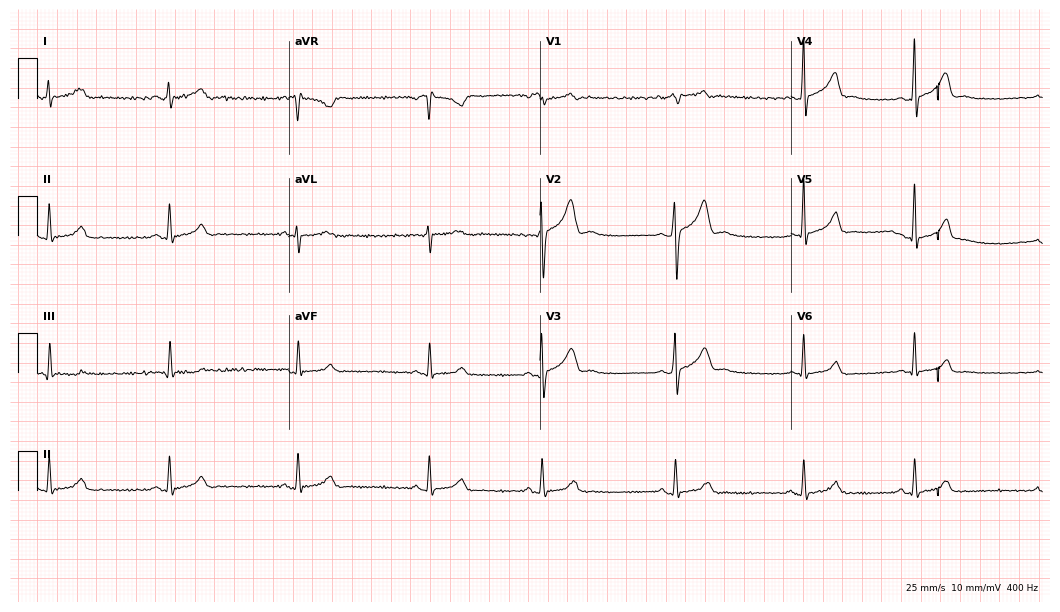
Resting 12-lead electrocardiogram (10.2-second recording at 400 Hz). Patient: a male, 24 years old. None of these six findings is recorded: first-degree AV block, right bundle branch block, left bundle branch block, sinus bradycardia, atrial fibrillation, sinus tachycardia.